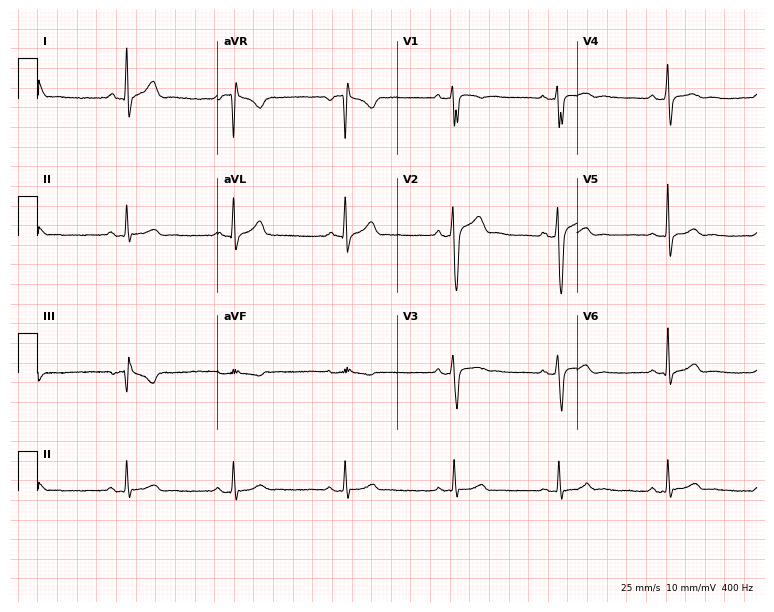
ECG (7.3-second recording at 400 Hz) — a man, 49 years old. Screened for six findings — first-degree AV block, right bundle branch block, left bundle branch block, sinus bradycardia, atrial fibrillation, sinus tachycardia — none is recorded.